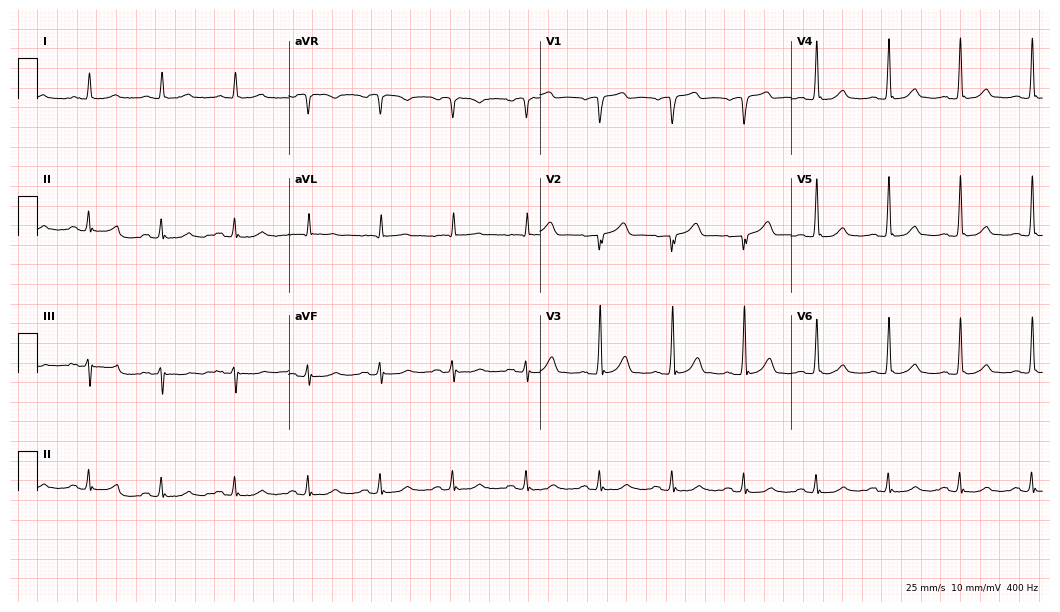
Electrocardiogram, a 65-year-old male patient. Of the six screened findings (first-degree AV block, right bundle branch block, left bundle branch block, sinus bradycardia, atrial fibrillation, sinus tachycardia), none is recorded.